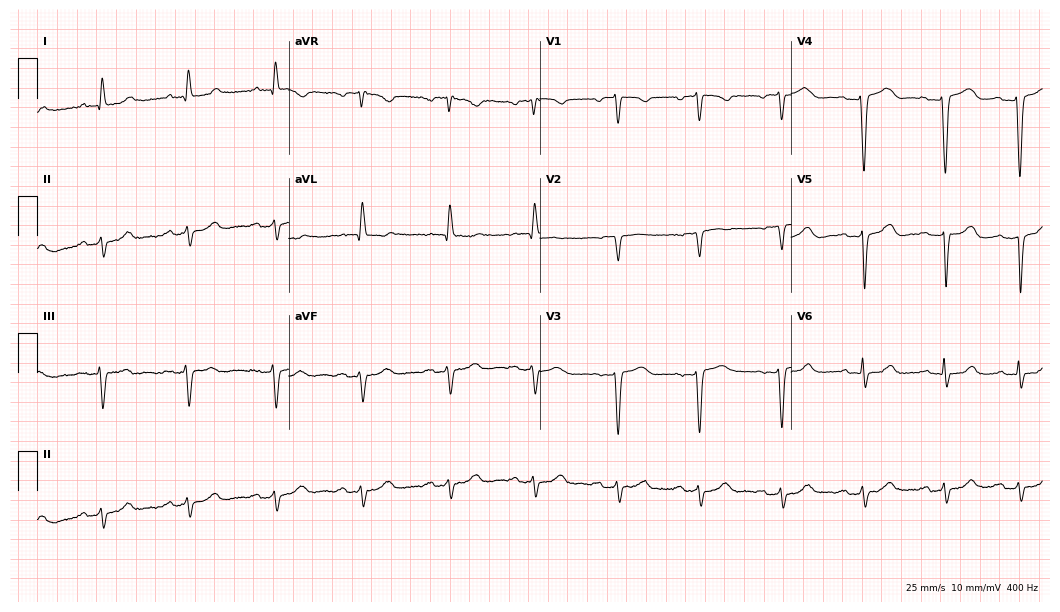
Standard 12-lead ECG recorded from a 72-year-old woman. None of these six findings is recorded: first-degree AV block, right bundle branch block (RBBB), left bundle branch block (LBBB), sinus bradycardia, atrial fibrillation (AF), sinus tachycardia.